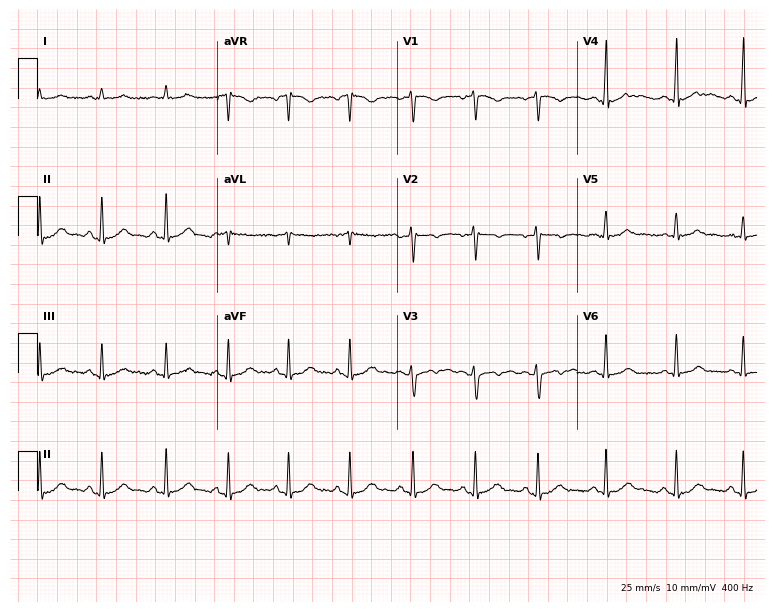
Standard 12-lead ECG recorded from a 36-year-old female patient (7.3-second recording at 400 Hz). Read as a normal ECG.